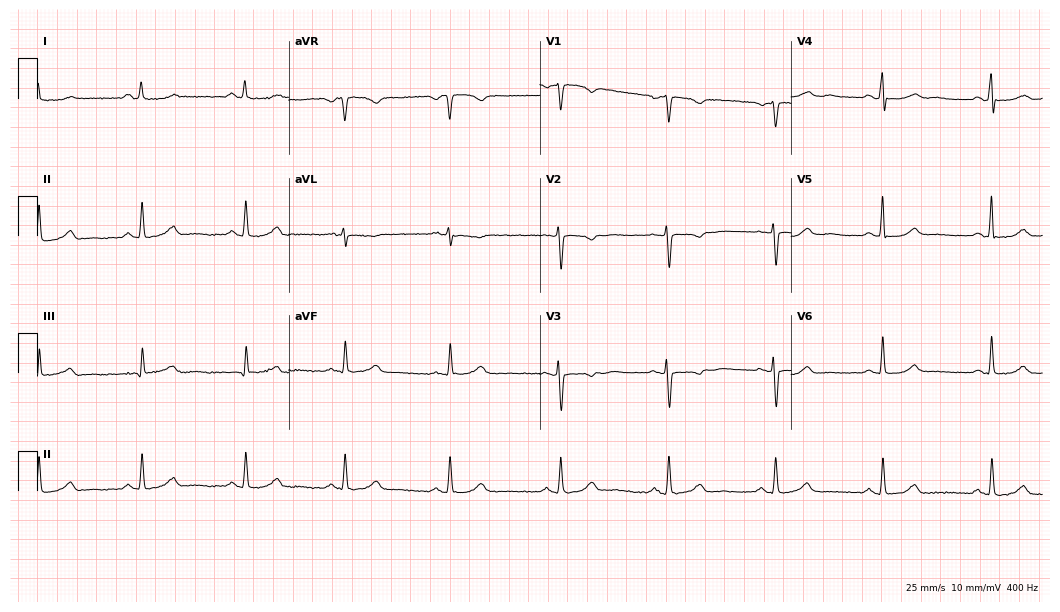
Resting 12-lead electrocardiogram. Patient: a 56-year-old female. None of these six findings is recorded: first-degree AV block, right bundle branch block, left bundle branch block, sinus bradycardia, atrial fibrillation, sinus tachycardia.